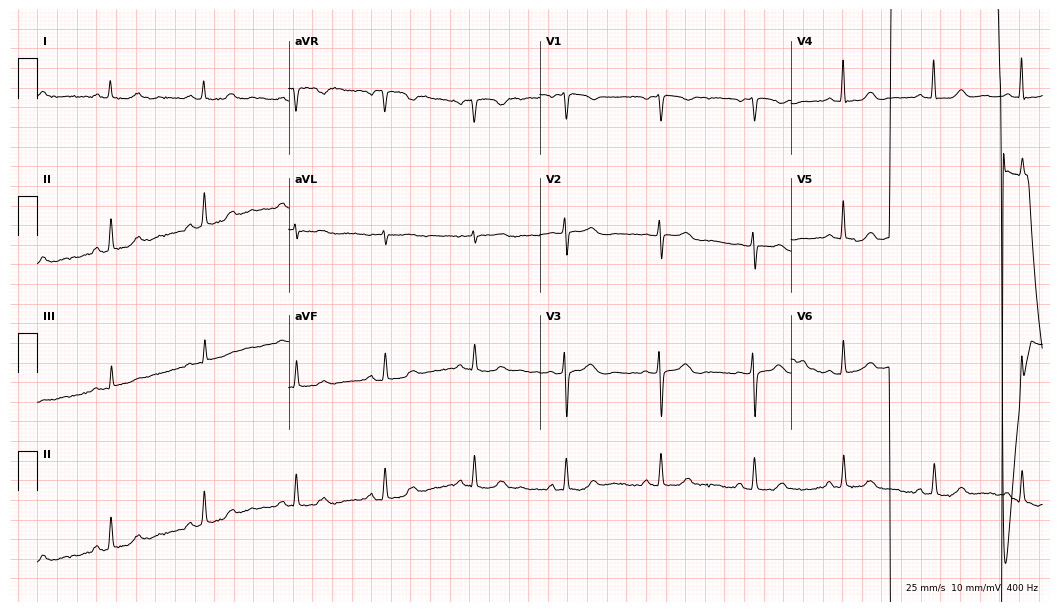
Resting 12-lead electrocardiogram. Patient: a female, 53 years old. Read as a normal ECG.